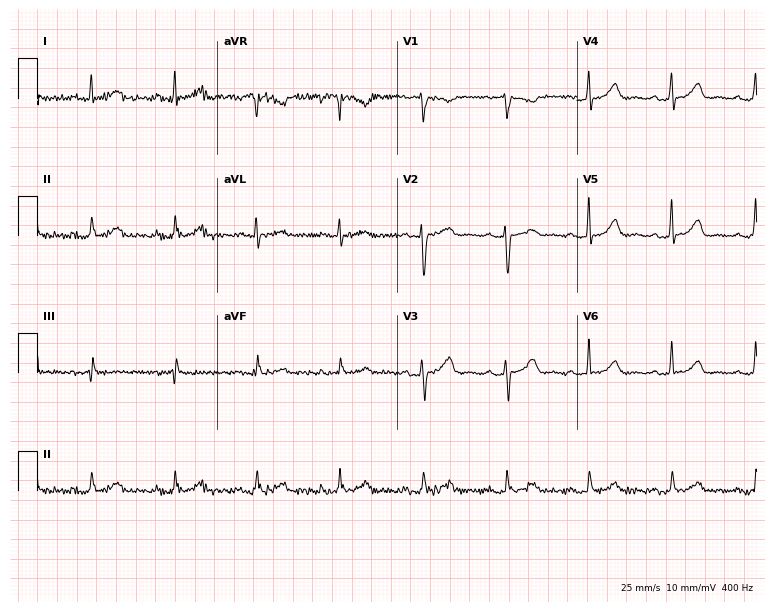
12-lead ECG from a female, 65 years old (7.3-second recording at 400 Hz). Recorded interpretation: within normal limits.